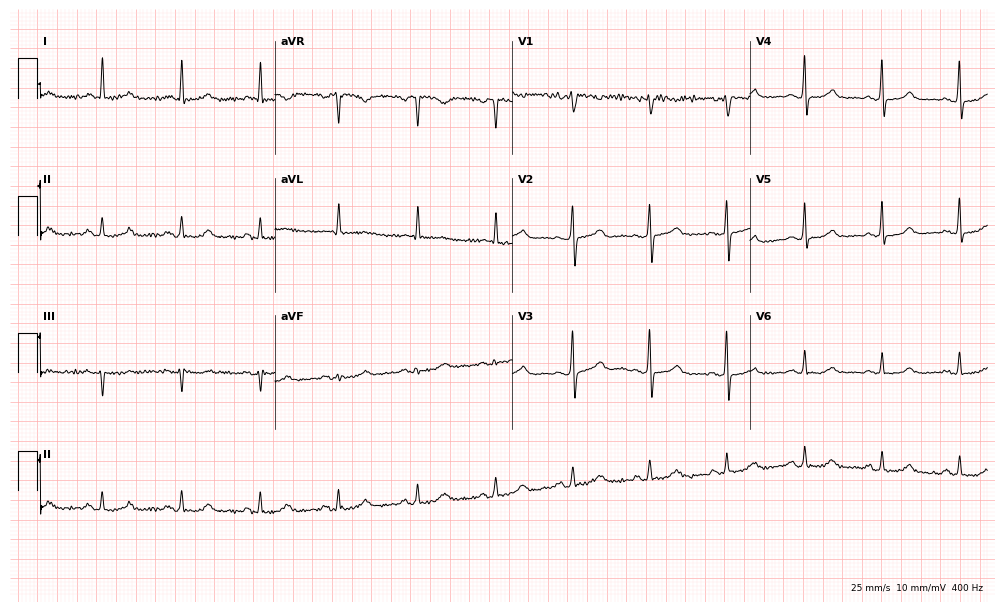
Electrocardiogram (9.7-second recording at 400 Hz), a female, 57 years old. Of the six screened findings (first-degree AV block, right bundle branch block, left bundle branch block, sinus bradycardia, atrial fibrillation, sinus tachycardia), none is recorded.